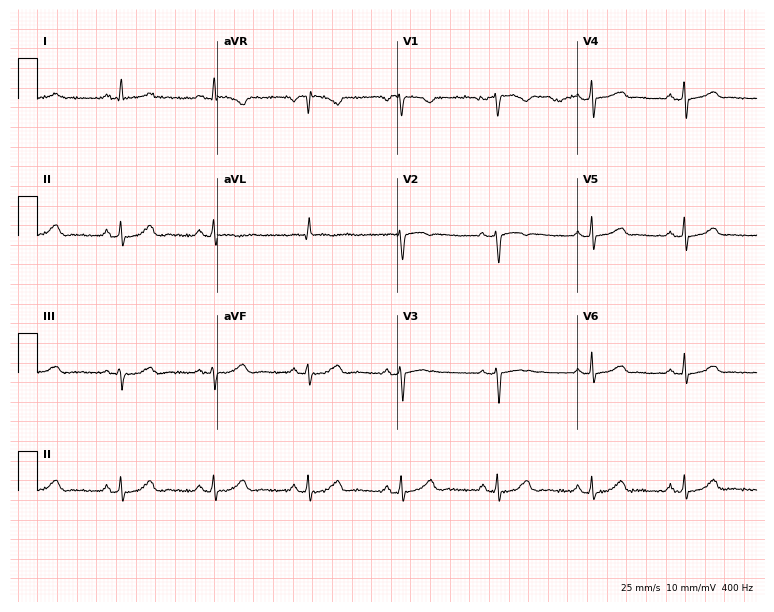
12-lead ECG from a 47-year-old female (7.3-second recording at 400 Hz). Recorded interpretation: within normal limits.